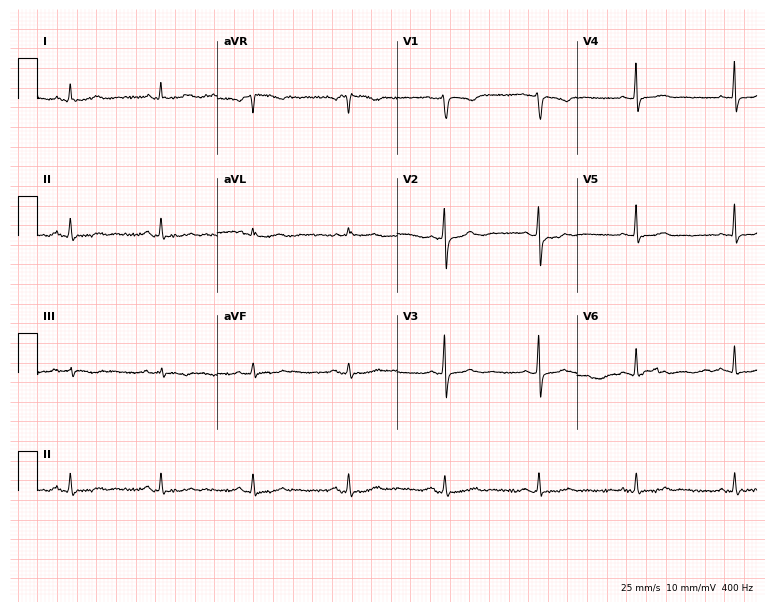
12-lead ECG from a woman, 41 years old. No first-degree AV block, right bundle branch block, left bundle branch block, sinus bradycardia, atrial fibrillation or sinus tachycardia recorded for this tracing.